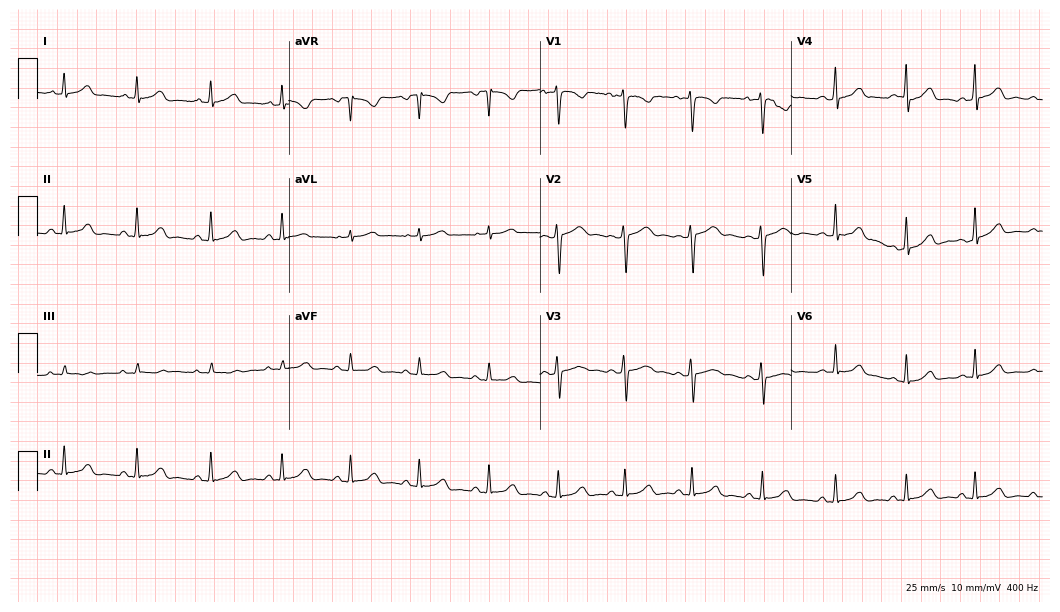
Resting 12-lead electrocardiogram (10.2-second recording at 400 Hz). Patient: a 20-year-old woman. Read as a normal ECG.